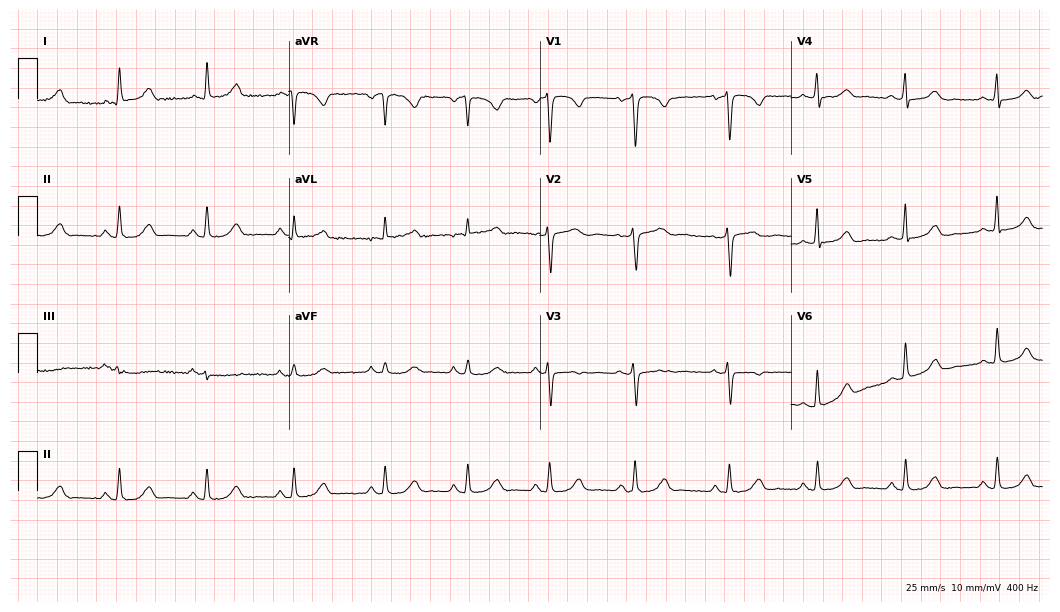
12-lead ECG from a 53-year-old female. Labelled as a normal ECG.